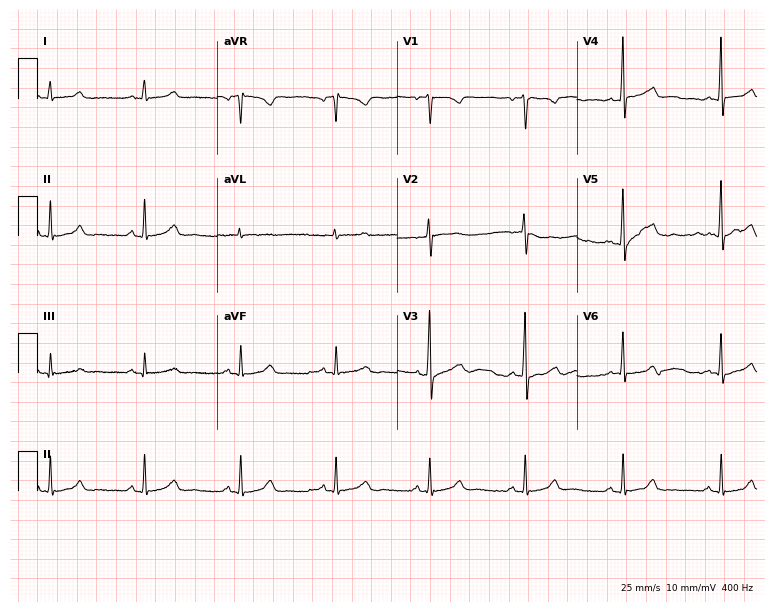
Electrocardiogram, a female, 35 years old. Overall reading on record: normal ECG.